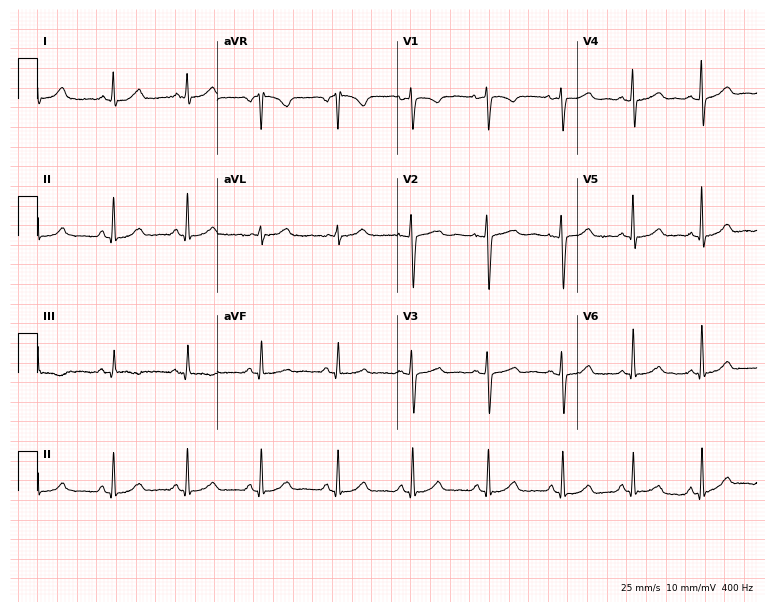
ECG — a female, 45 years old. Labelled as a normal ECG.